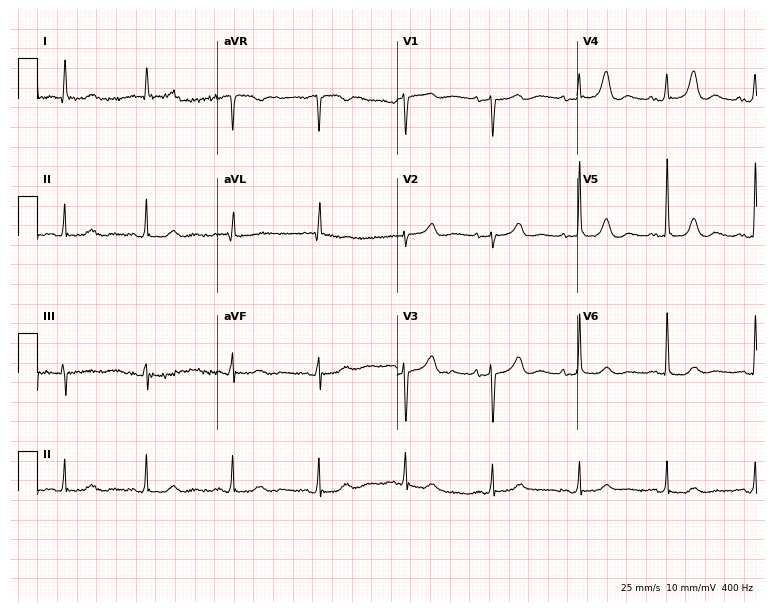
12-lead ECG from a 75-year-old woman (7.3-second recording at 400 Hz). Recorded interpretation: within normal limits.